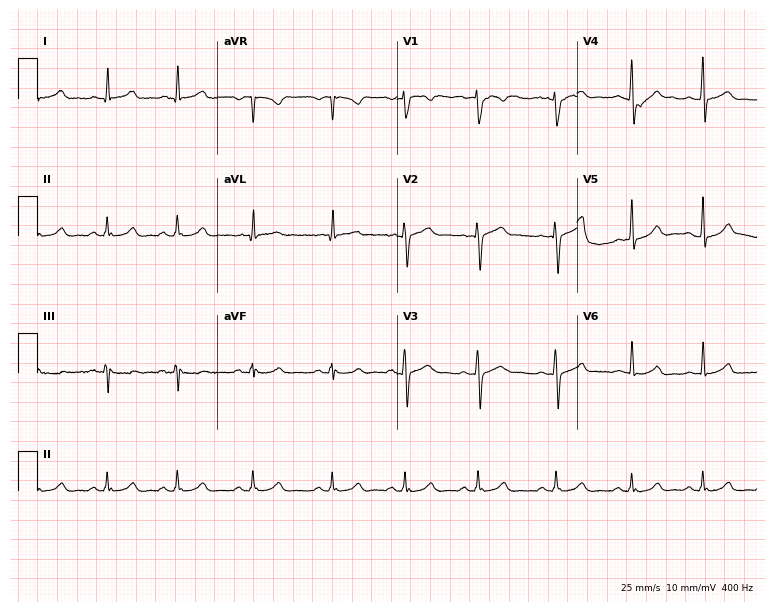
Electrocardiogram (7.3-second recording at 400 Hz), a 31-year-old female. Overall reading on record: normal ECG.